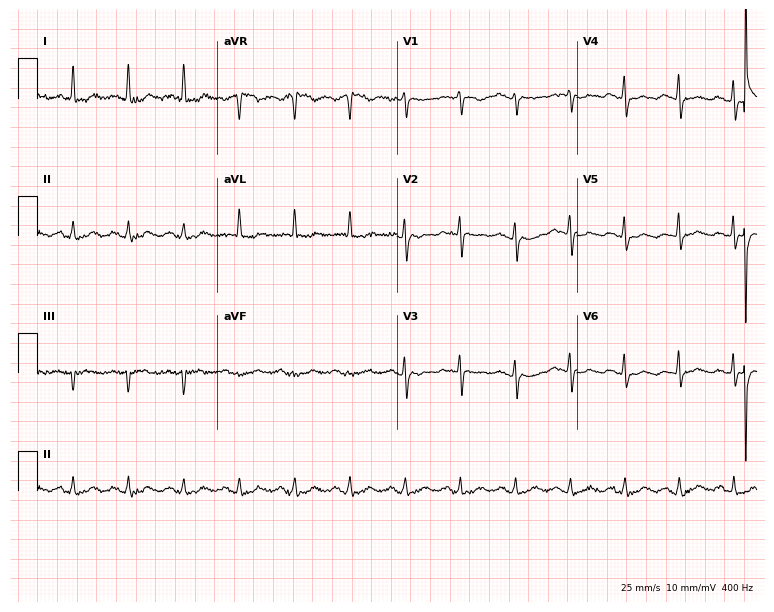
ECG (7.3-second recording at 400 Hz) — a 74-year-old female. Findings include sinus tachycardia (a sinus rate of 100 beats per minute or more).